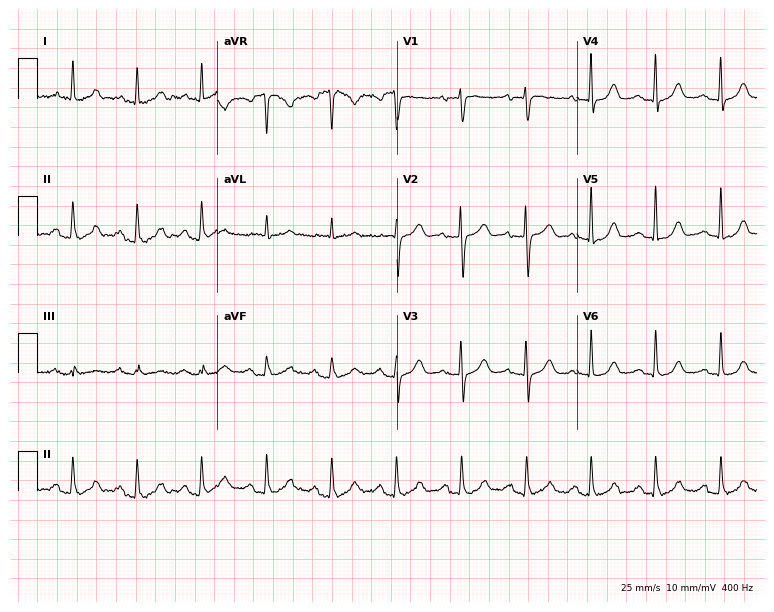
ECG — a female, 80 years old. Labelled as a normal ECG.